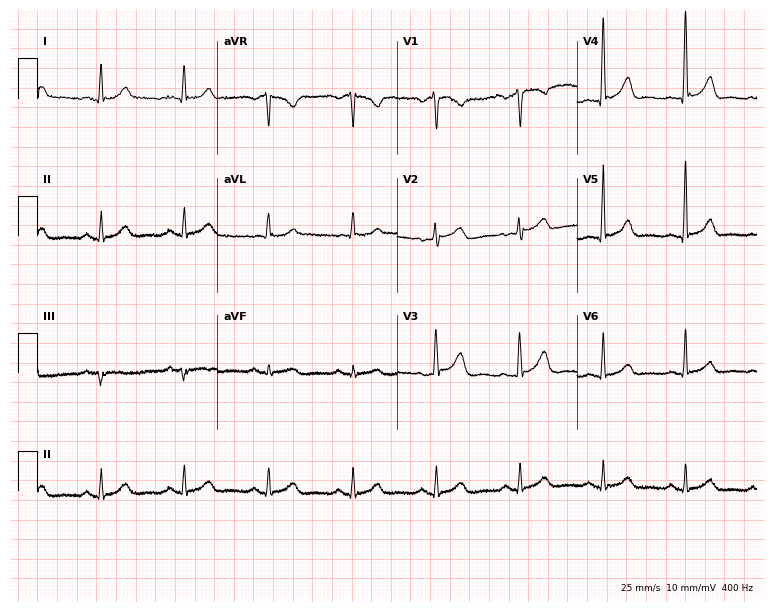
12-lead ECG from a male, 56 years old (7.3-second recording at 400 Hz). Recorded interpretation: within normal limits.